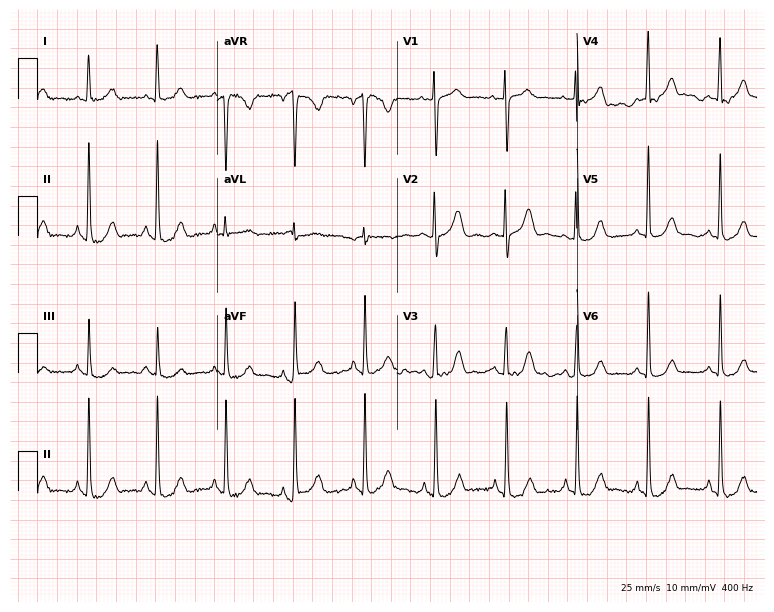
Resting 12-lead electrocardiogram (7.3-second recording at 400 Hz). Patient: a 74-year-old female. None of these six findings is recorded: first-degree AV block, right bundle branch block, left bundle branch block, sinus bradycardia, atrial fibrillation, sinus tachycardia. Other findings, if any, are not listed.